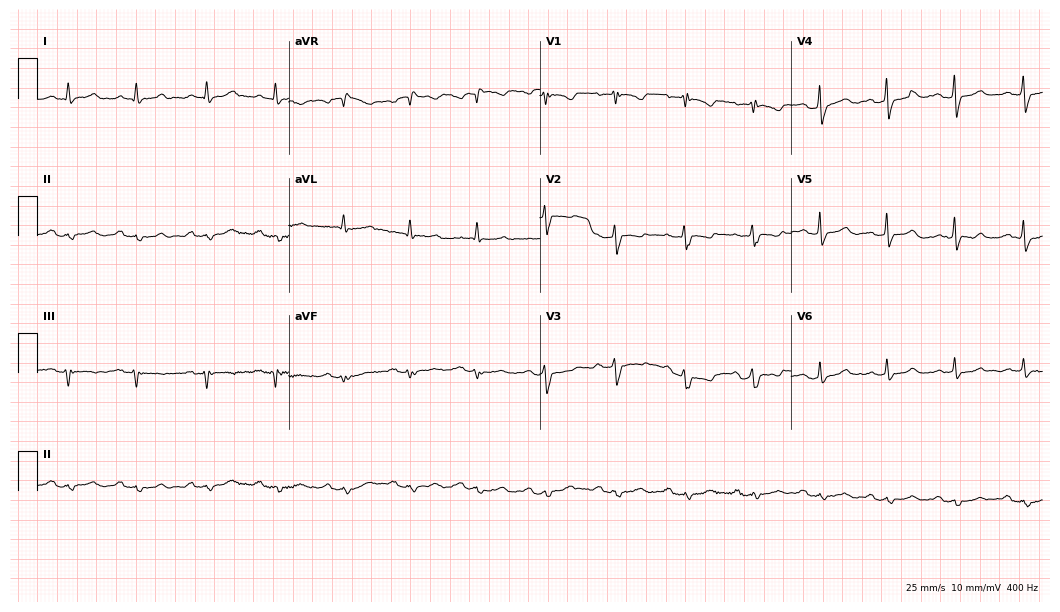
ECG (10.2-second recording at 400 Hz) — a man, 79 years old. Screened for six findings — first-degree AV block, right bundle branch block (RBBB), left bundle branch block (LBBB), sinus bradycardia, atrial fibrillation (AF), sinus tachycardia — none is recorded.